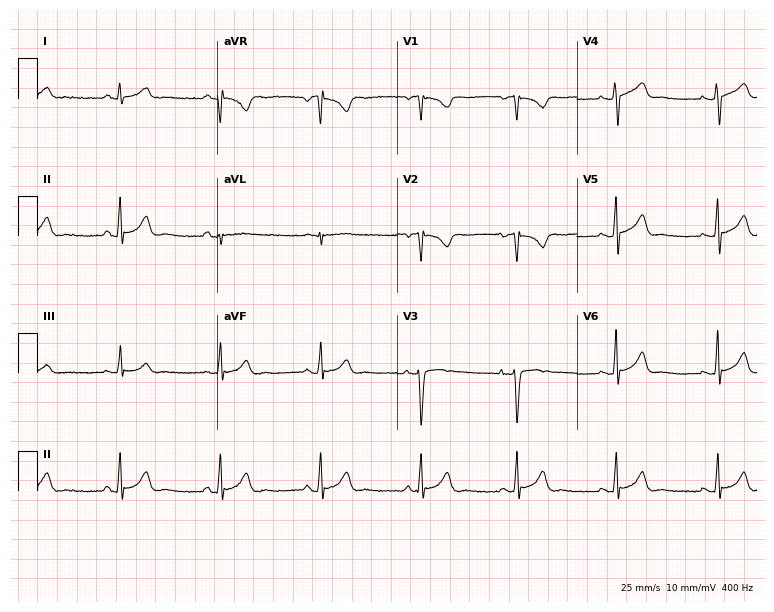
12-lead ECG from a 24-year-old female patient. Screened for six findings — first-degree AV block, right bundle branch block (RBBB), left bundle branch block (LBBB), sinus bradycardia, atrial fibrillation (AF), sinus tachycardia — none is recorded. Other findings, if any, are not listed.